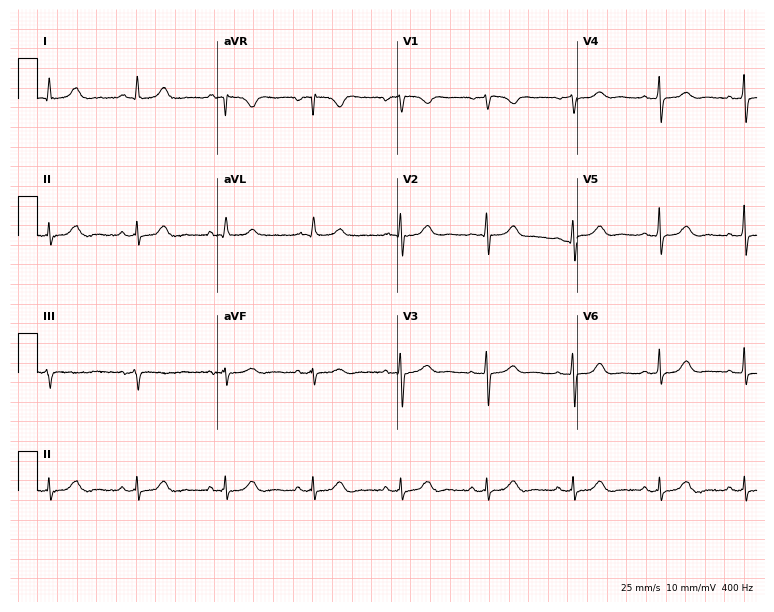
Electrocardiogram (7.3-second recording at 400 Hz), a female, 71 years old. Overall reading on record: normal ECG.